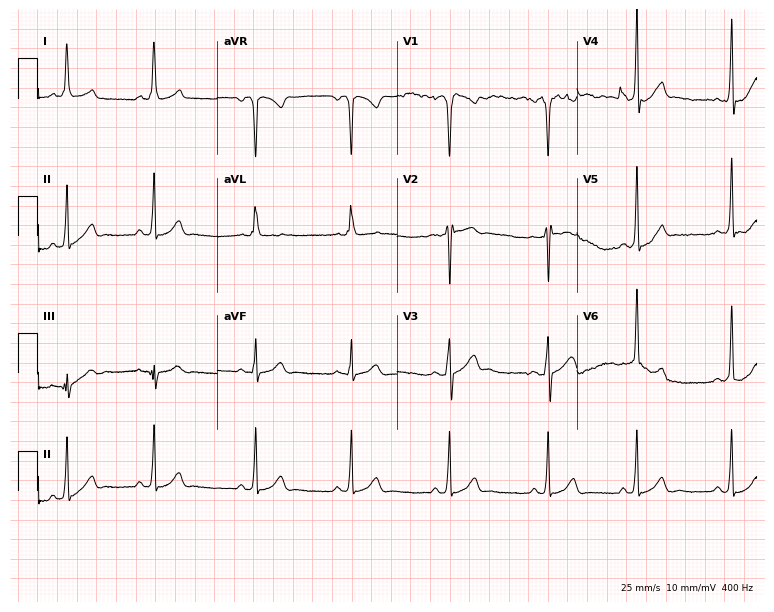
12-lead ECG from a man, 18 years old (7.3-second recording at 400 Hz). Recorded interpretation: within normal limits.